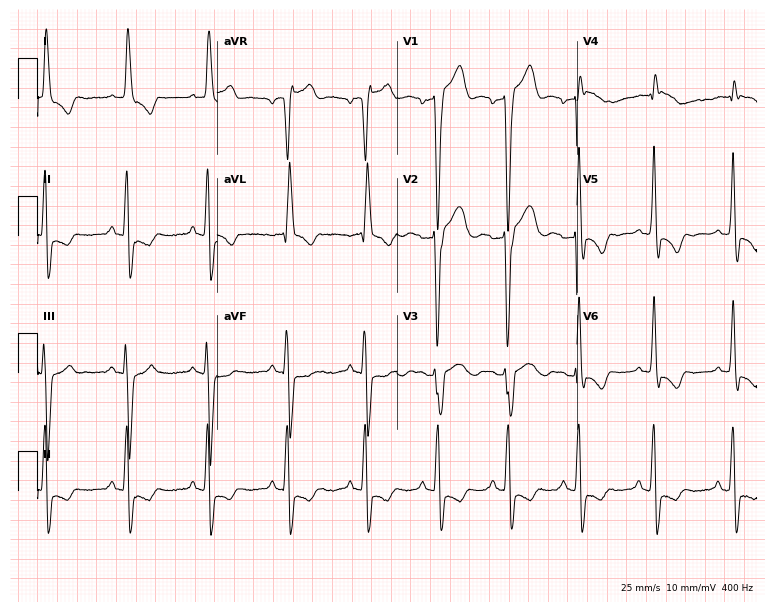
12-lead ECG from a 51-year-old man. Screened for six findings — first-degree AV block, right bundle branch block, left bundle branch block, sinus bradycardia, atrial fibrillation, sinus tachycardia — none is recorded. Only these six findings were labelled.